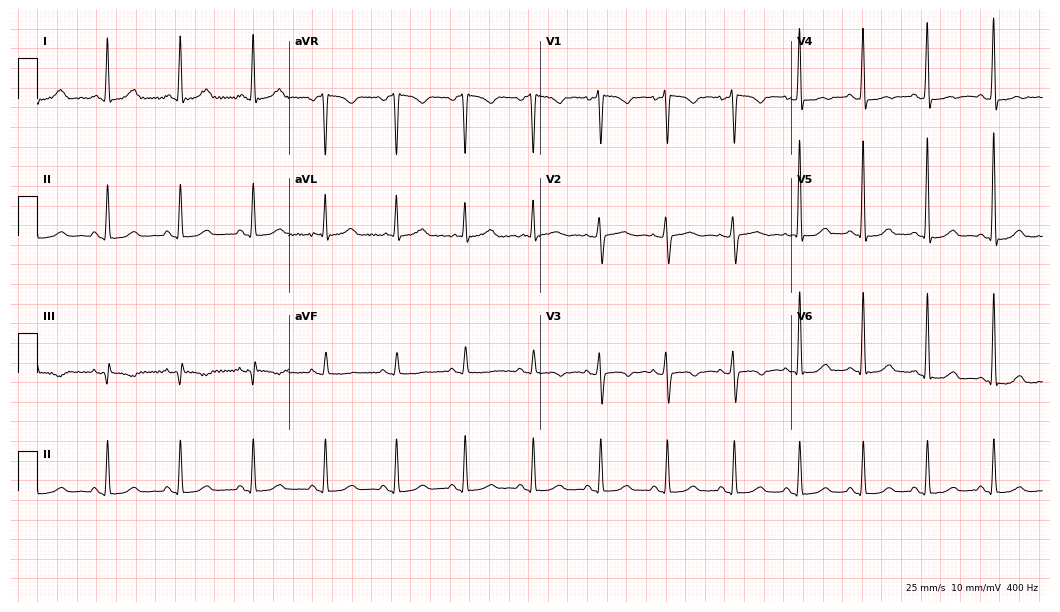
12-lead ECG (10.2-second recording at 400 Hz) from a 57-year-old female. Screened for six findings — first-degree AV block, right bundle branch block, left bundle branch block, sinus bradycardia, atrial fibrillation, sinus tachycardia — none is recorded. Other findings, if any, are not listed.